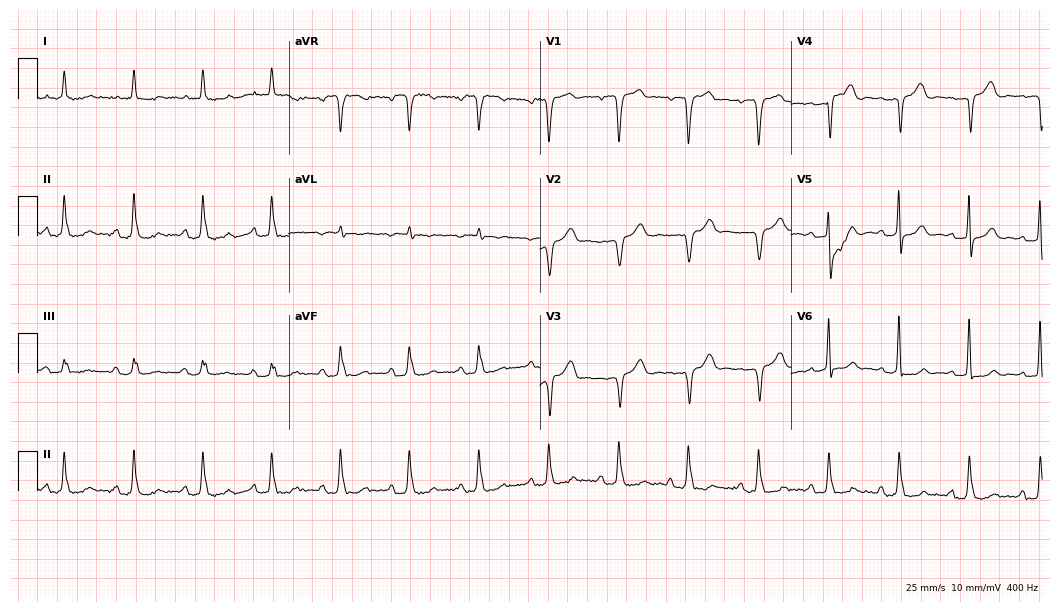
ECG — a 76-year-old male patient. Screened for six findings — first-degree AV block, right bundle branch block, left bundle branch block, sinus bradycardia, atrial fibrillation, sinus tachycardia — none is recorded.